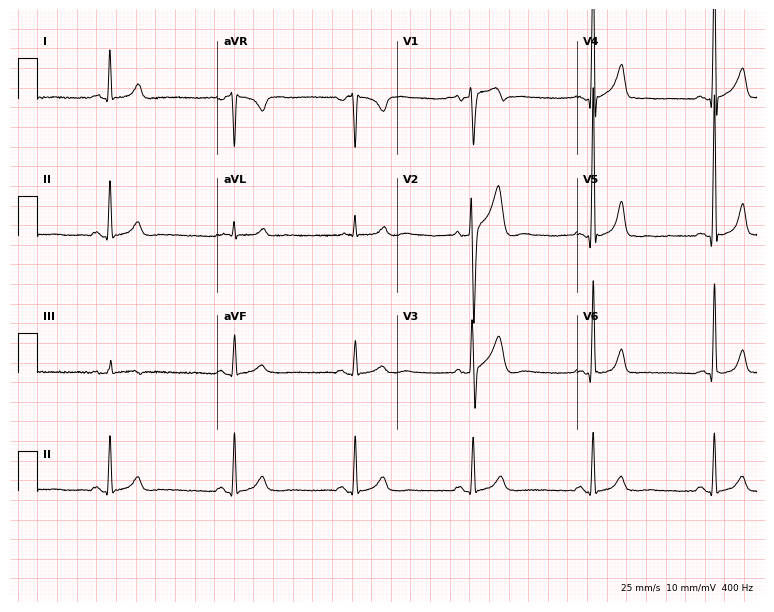
ECG — a 60-year-old man. Findings include sinus bradycardia (a sinus rate of 50 beats per minute or less).